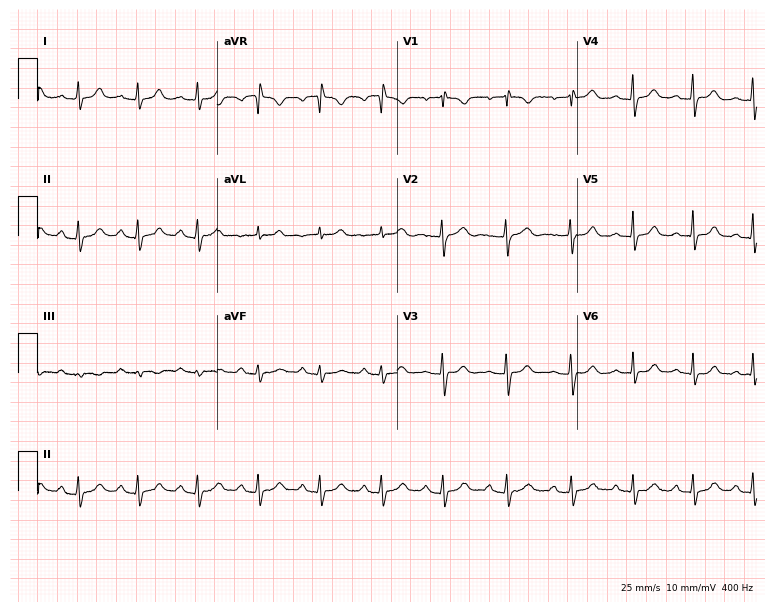
Electrocardiogram (7.3-second recording at 400 Hz), a 22-year-old woman. Overall reading on record: normal ECG.